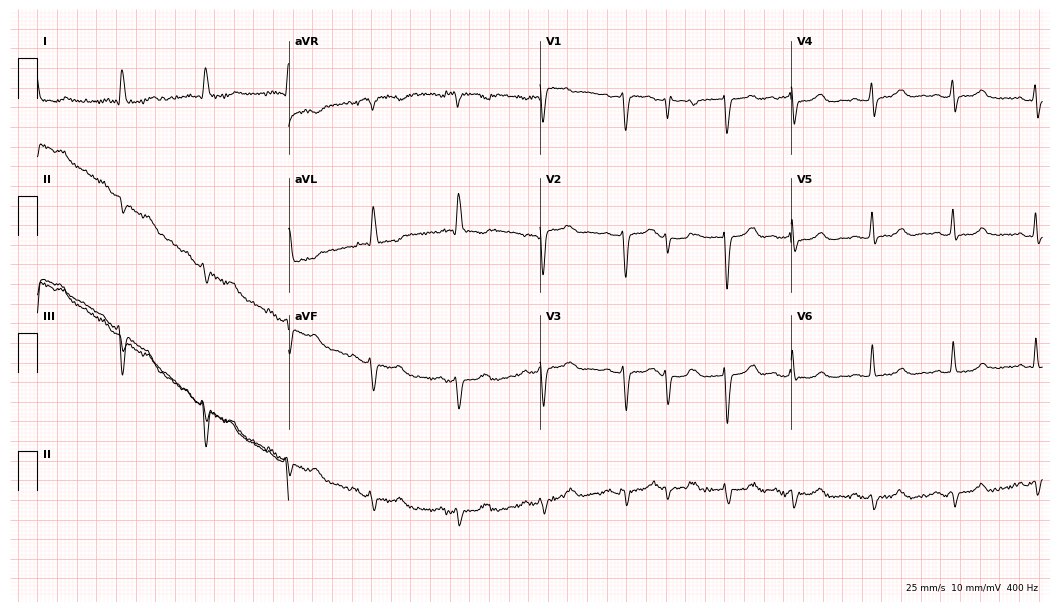
ECG — a female, 73 years old. Screened for six findings — first-degree AV block, right bundle branch block, left bundle branch block, sinus bradycardia, atrial fibrillation, sinus tachycardia — none is recorded.